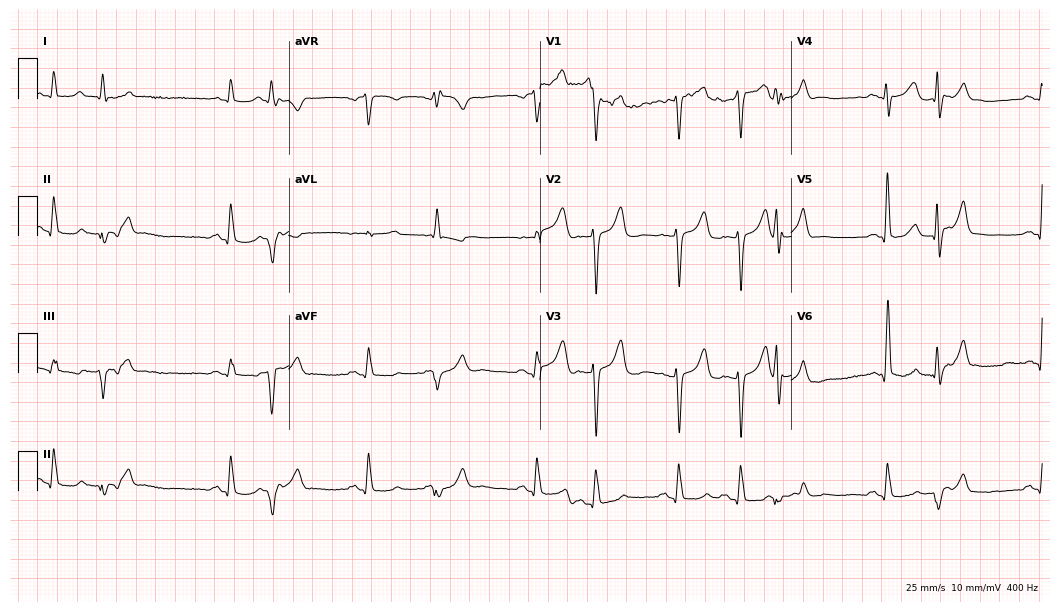
ECG (10.2-second recording at 400 Hz) — a male patient, 81 years old. Screened for six findings — first-degree AV block, right bundle branch block, left bundle branch block, sinus bradycardia, atrial fibrillation, sinus tachycardia — none is recorded.